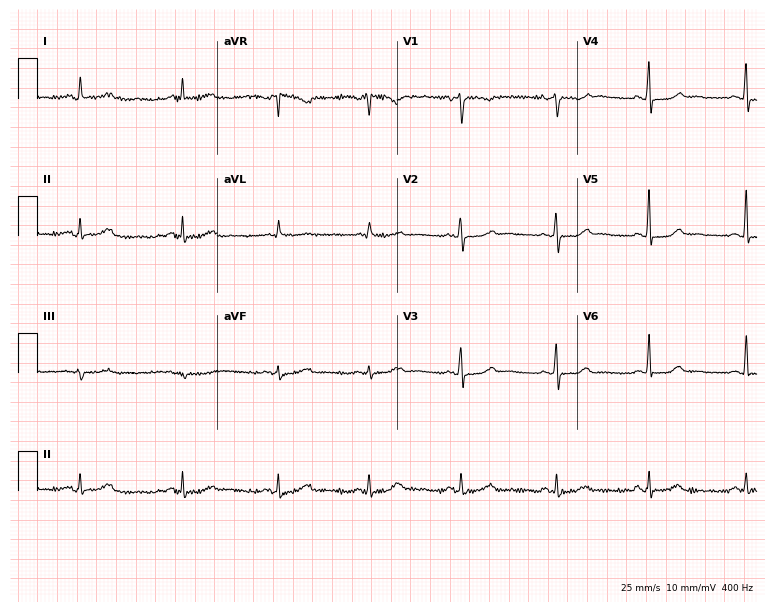
ECG (7.3-second recording at 400 Hz) — a female, 47 years old. Labelled as a normal ECG.